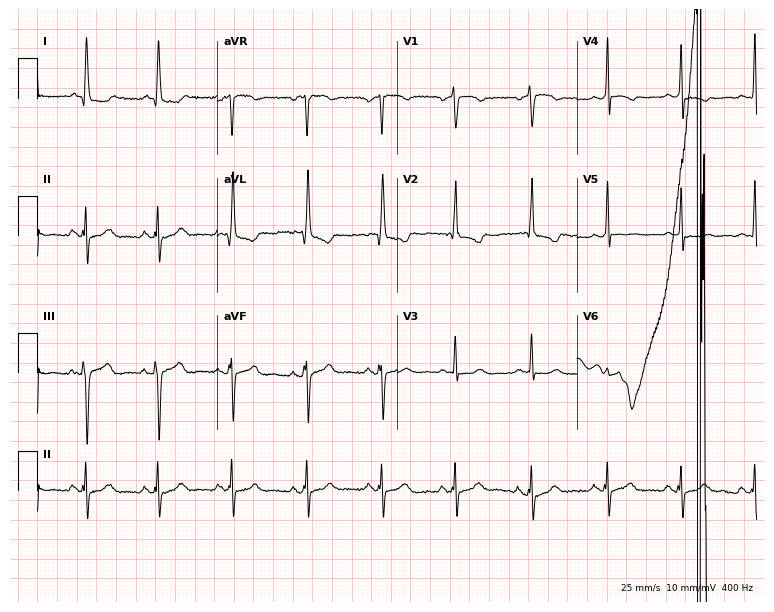
ECG — an 84-year-old female. Screened for six findings — first-degree AV block, right bundle branch block (RBBB), left bundle branch block (LBBB), sinus bradycardia, atrial fibrillation (AF), sinus tachycardia — none is recorded.